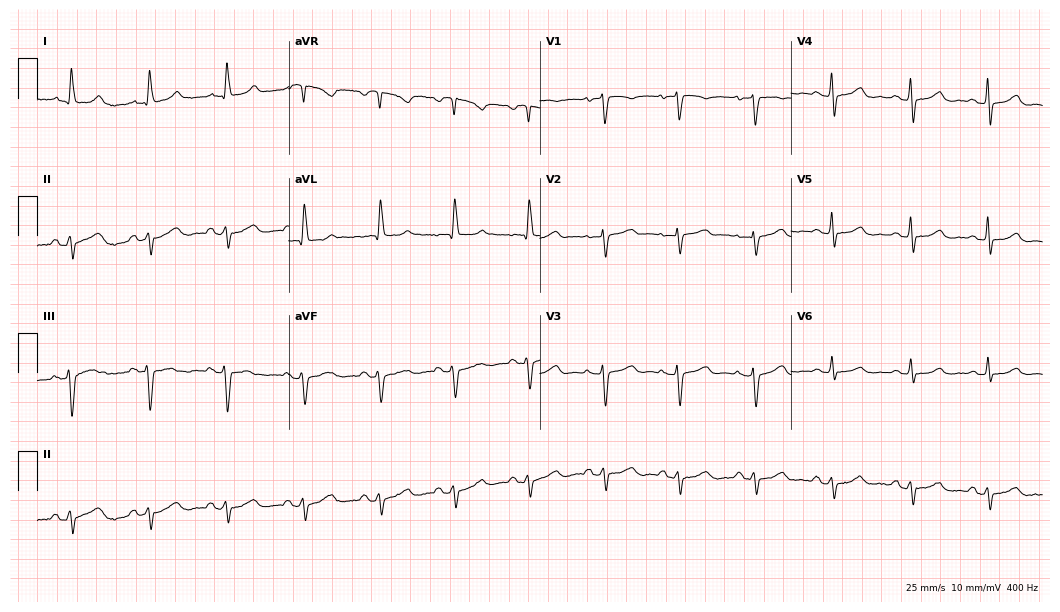
Standard 12-lead ECG recorded from a female, 65 years old. None of these six findings is recorded: first-degree AV block, right bundle branch block, left bundle branch block, sinus bradycardia, atrial fibrillation, sinus tachycardia.